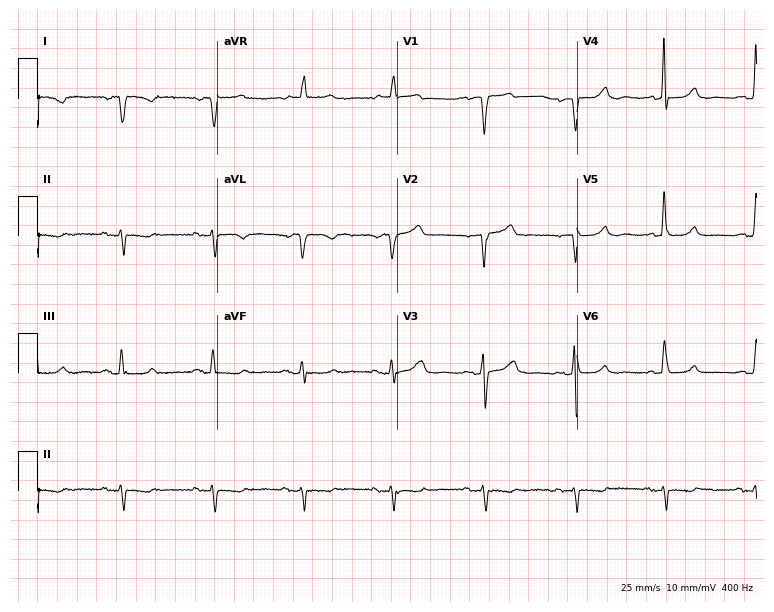
12-lead ECG from a 77-year-old female patient. No first-degree AV block, right bundle branch block (RBBB), left bundle branch block (LBBB), sinus bradycardia, atrial fibrillation (AF) or sinus tachycardia recorded for this tracing. Other findings, if any, are not listed.